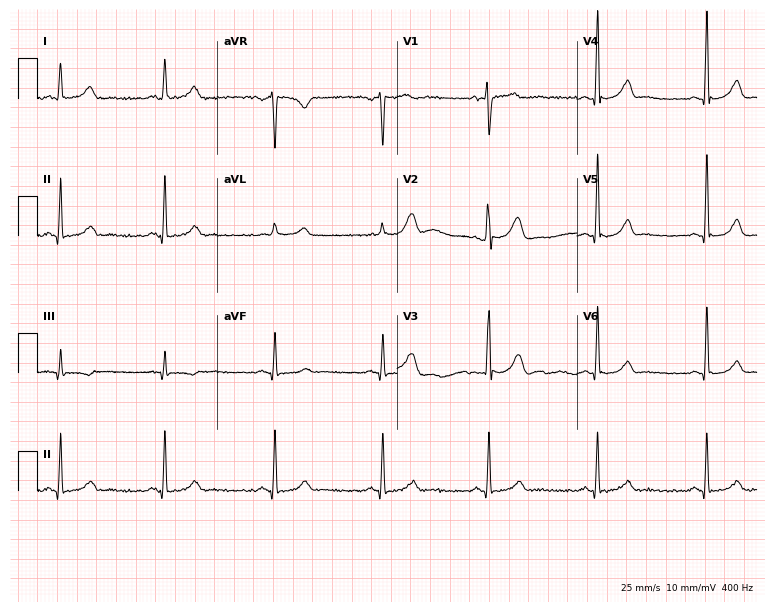
12-lead ECG (7.3-second recording at 400 Hz) from a female, 57 years old. Labelled as a normal ECG.